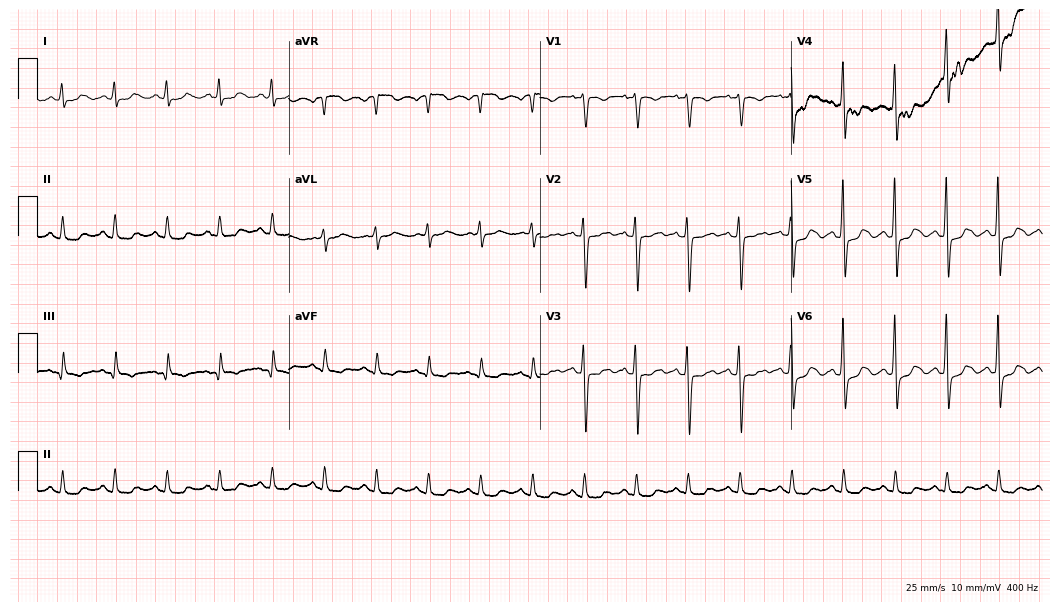
Standard 12-lead ECG recorded from a 75-year-old female (10.2-second recording at 400 Hz). The tracing shows sinus tachycardia (a sinus rate of 100 beats per minute or more).